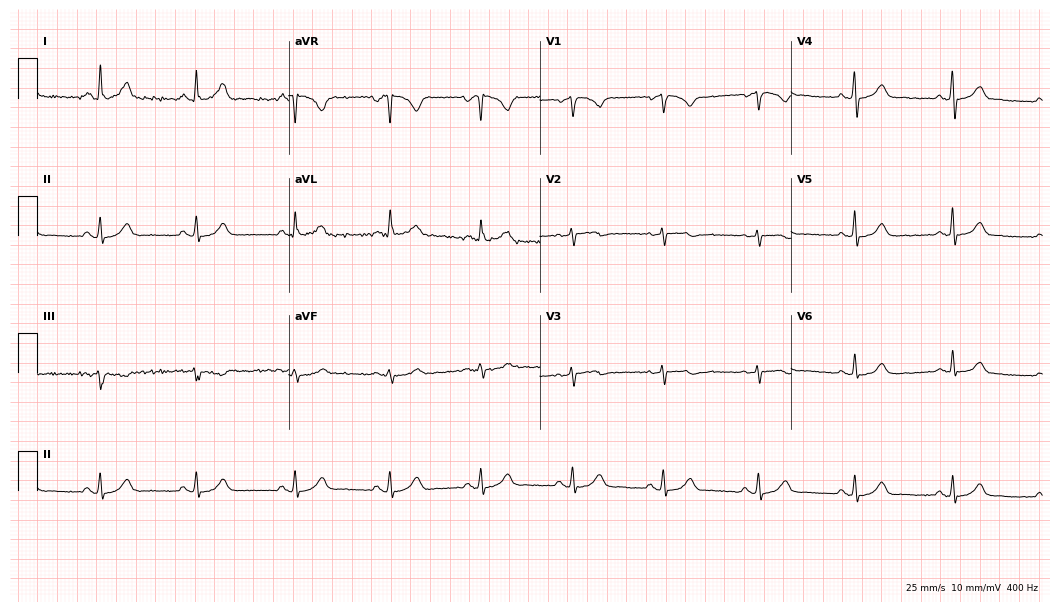
Resting 12-lead electrocardiogram (10.2-second recording at 400 Hz). Patient: a 31-year-old female. Read as a normal ECG.